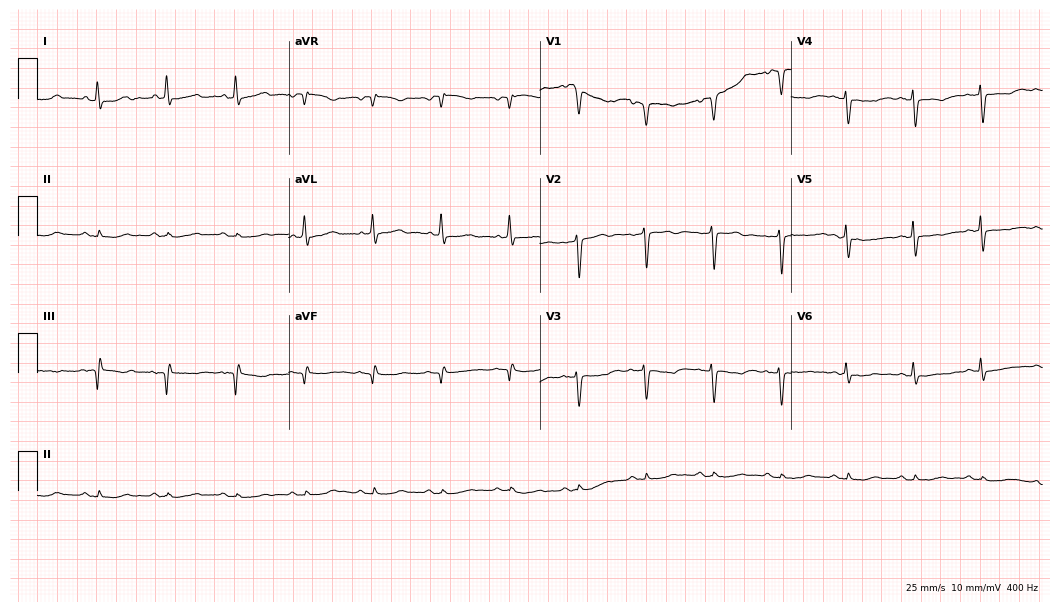
Resting 12-lead electrocardiogram. Patient: a female, 71 years old. None of these six findings is recorded: first-degree AV block, right bundle branch block, left bundle branch block, sinus bradycardia, atrial fibrillation, sinus tachycardia.